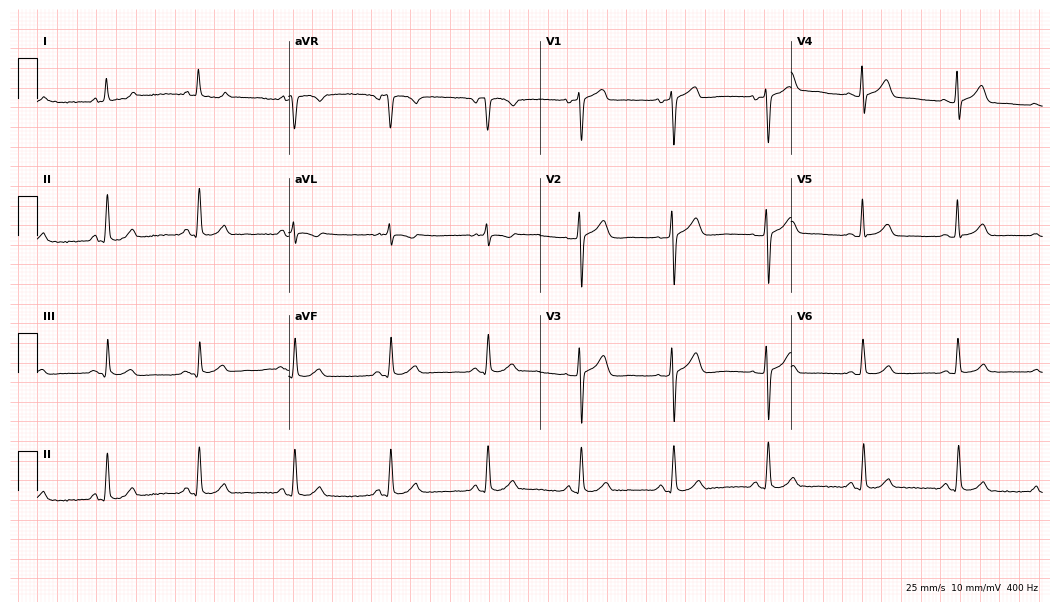
12-lead ECG (10.2-second recording at 400 Hz) from a 71-year-old female patient. Labelled as a normal ECG.